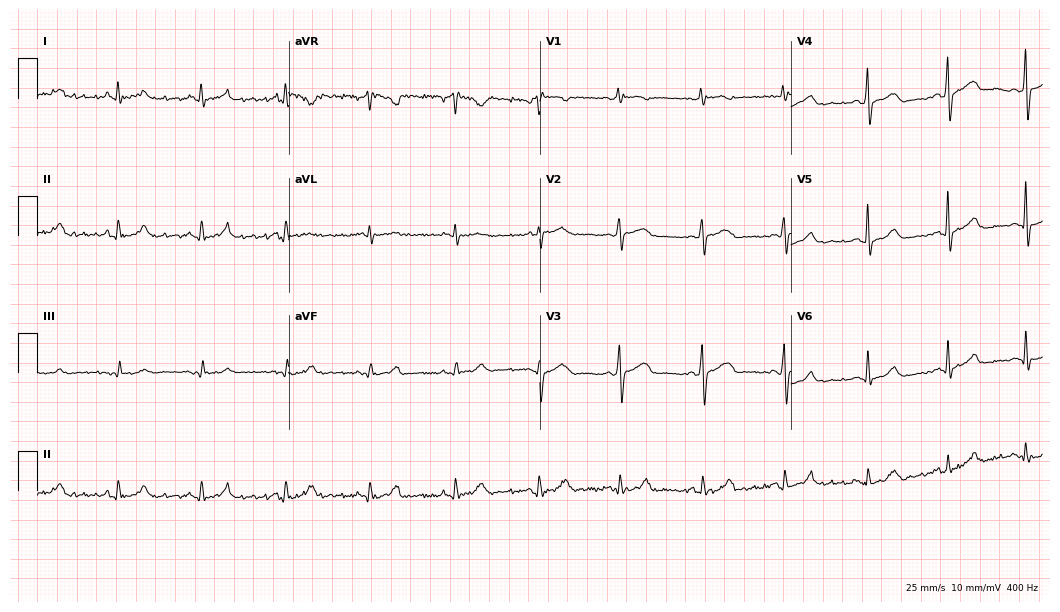
ECG (10.2-second recording at 400 Hz) — a 55-year-old male patient. Labelled as a normal ECG.